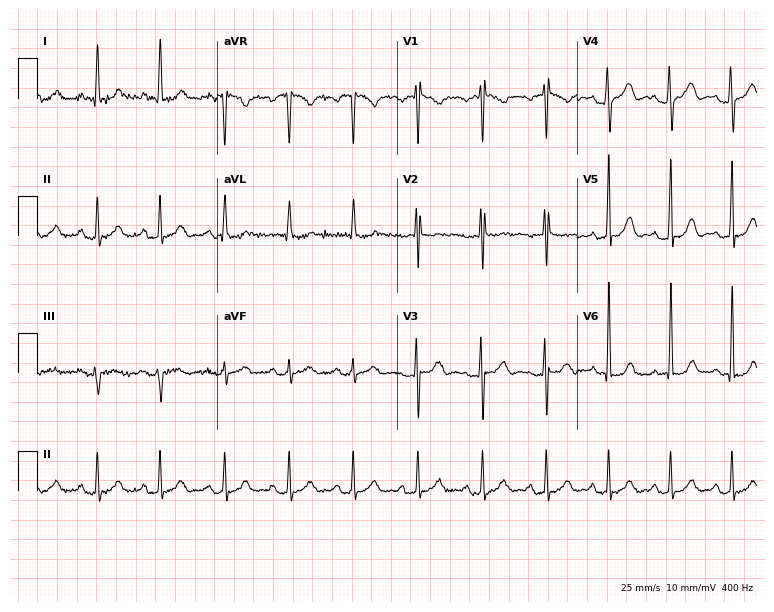
ECG (7.3-second recording at 400 Hz) — a 39-year-old male. Screened for six findings — first-degree AV block, right bundle branch block, left bundle branch block, sinus bradycardia, atrial fibrillation, sinus tachycardia — none is recorded. Findings outside these six are not listed.